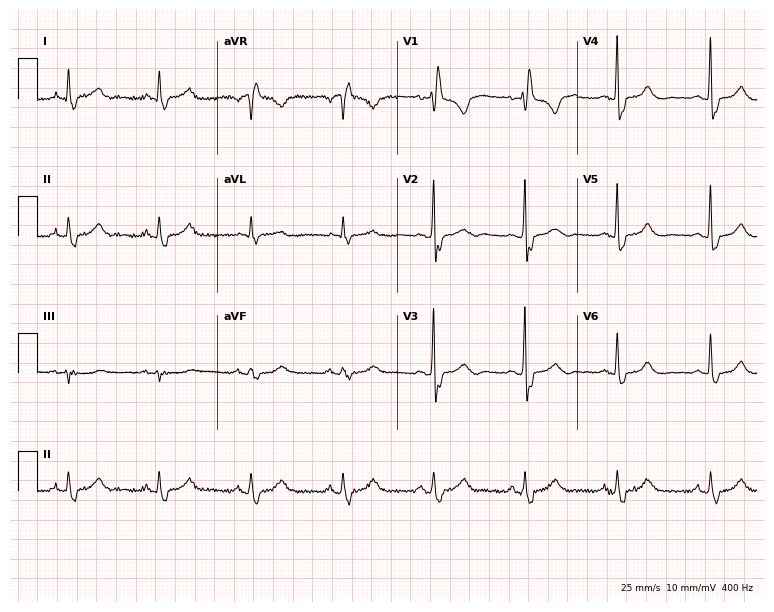
Standard 12-lead ECG recorded from a 77-year-old female patient. The tracing shows right bundle branch block.